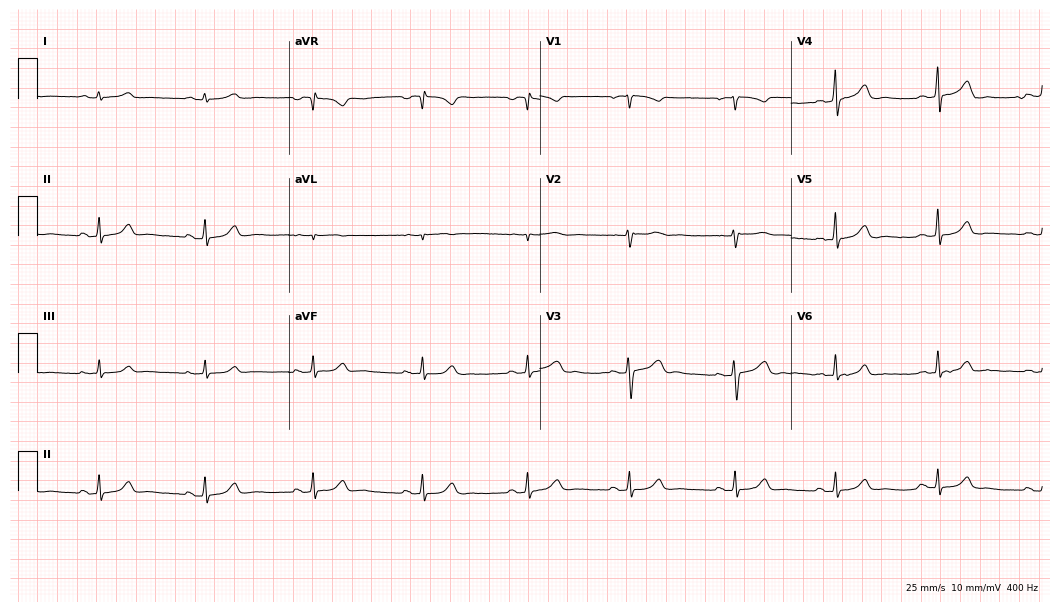
Resting 12-lead electrocardiogram (10.2-second recording at 400 Hz). Patient: a woman, 41 years old. Read as a normal ECG.